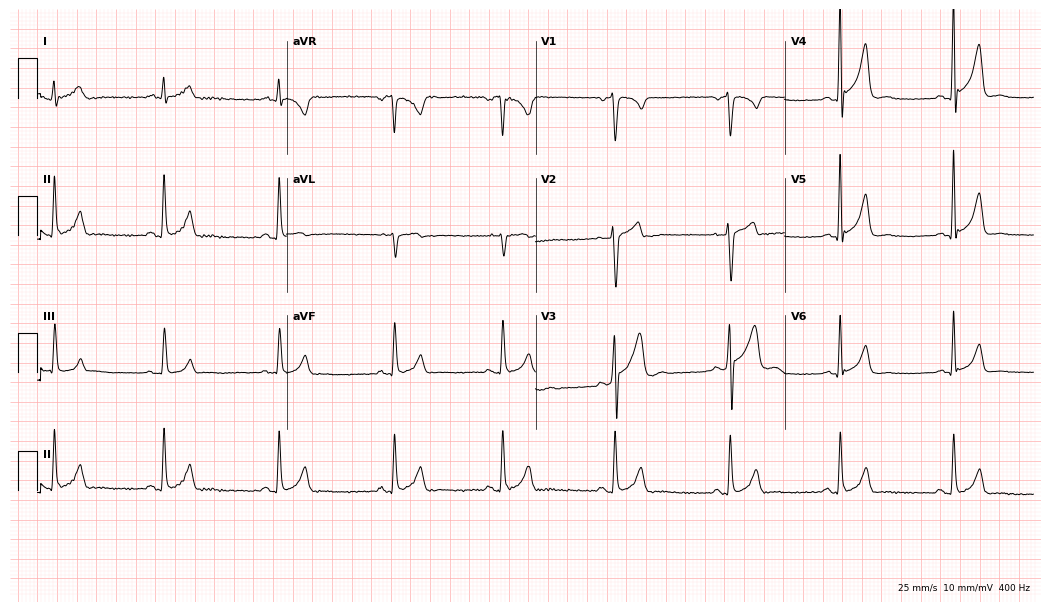
12-lead ECG (10.2-second recording at 400 Hz) from a man, 35 years old. Screened for six findings — first-degree AV block, right bundle branch block, left bundle branch block, sinus bradycardia, atrial fibrillation, sinus tachycardia — none is recorded. Only these six findings were labelled.